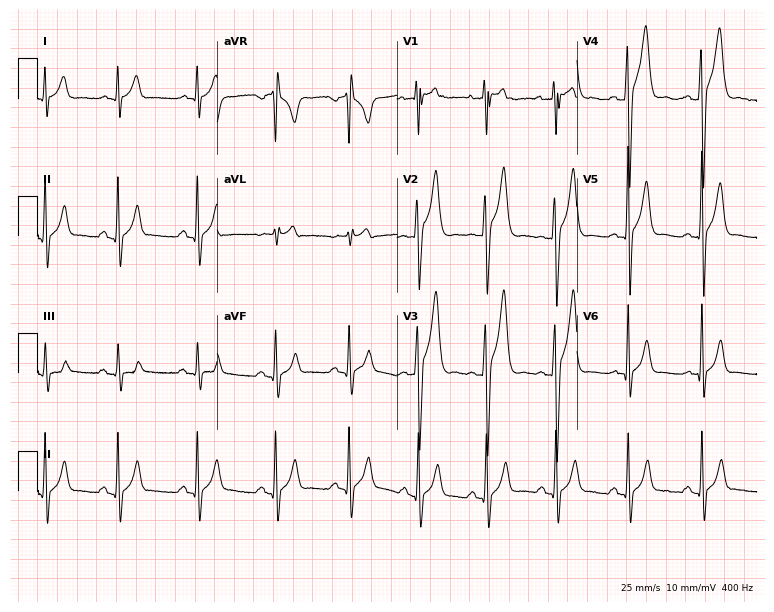
ECG (7.3-second recording at 400 Hz) — a male, 18 years old. Screened for six findings — first-degree AV block, right bundle branch block (RBBB), left bundle branch block (LBBB), sinus bradycardia, atrial fibrillation (AF), sinus tachycardia — none is recorded.